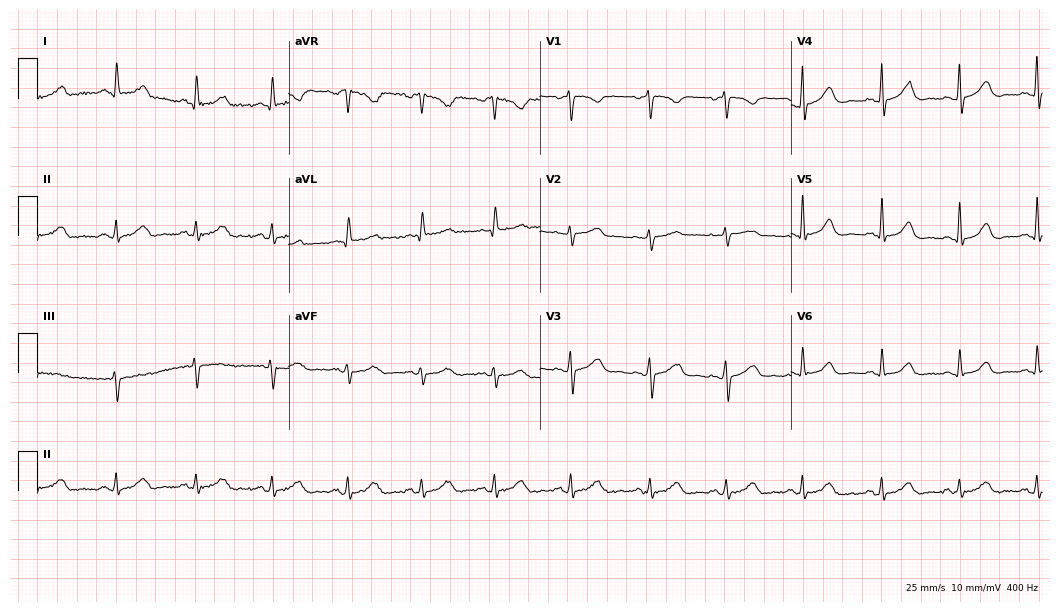
Electrocardiogram (10.2-second recording at 400 Hz), a woman, 60 years old. Overall reading on record: normal ECG.